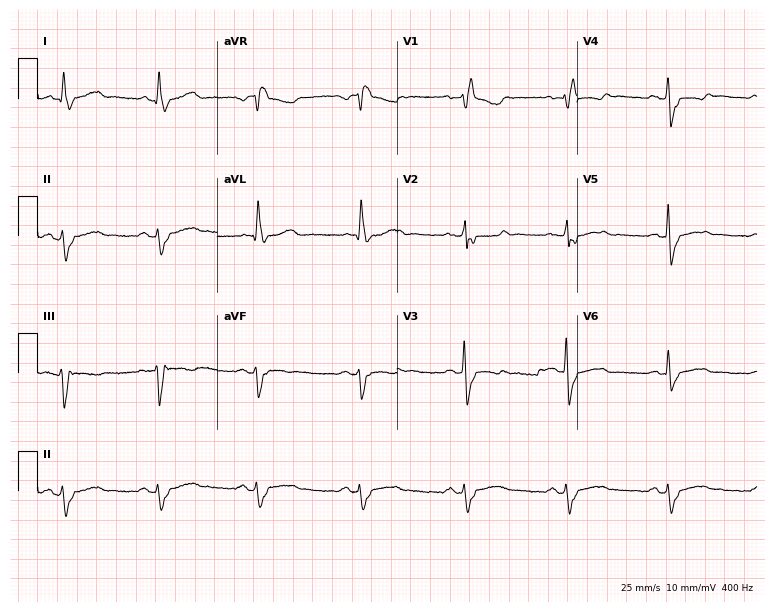
12-lead ECG (7.3-second recording at 400 Hz) from a male, 68 years old. Findings include right bundle branch block (RBBB).